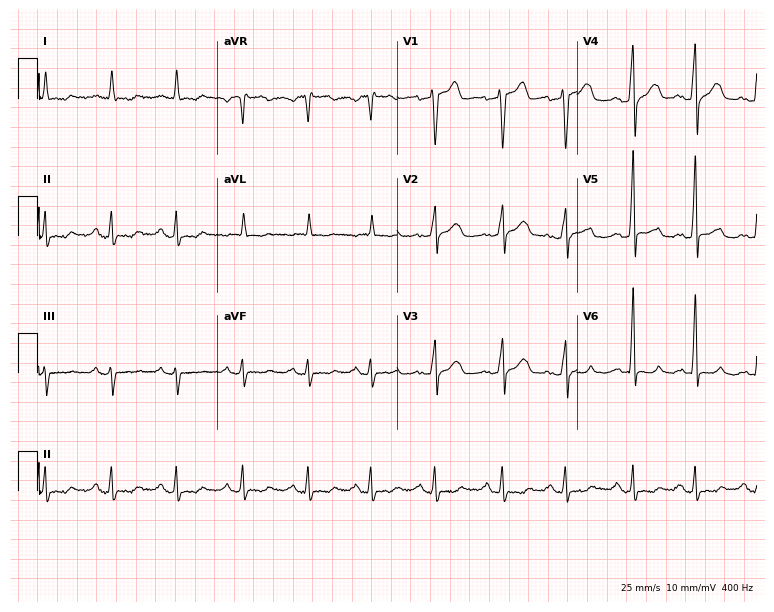
12-lead ECG from a male, 64 years old (7.3-second recording at 400 Hz). Recorded interpretation: within normal limits.